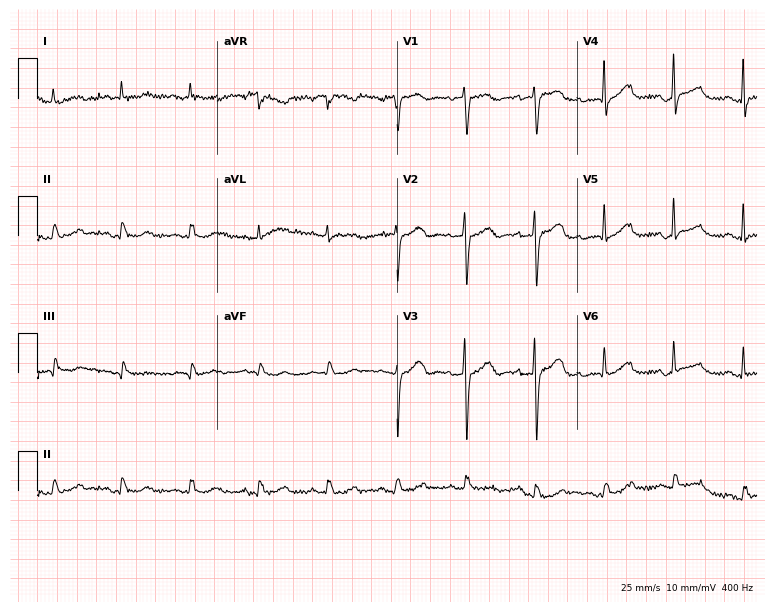
ECG — an 83-year-old female. Labelled as a normal ECG.